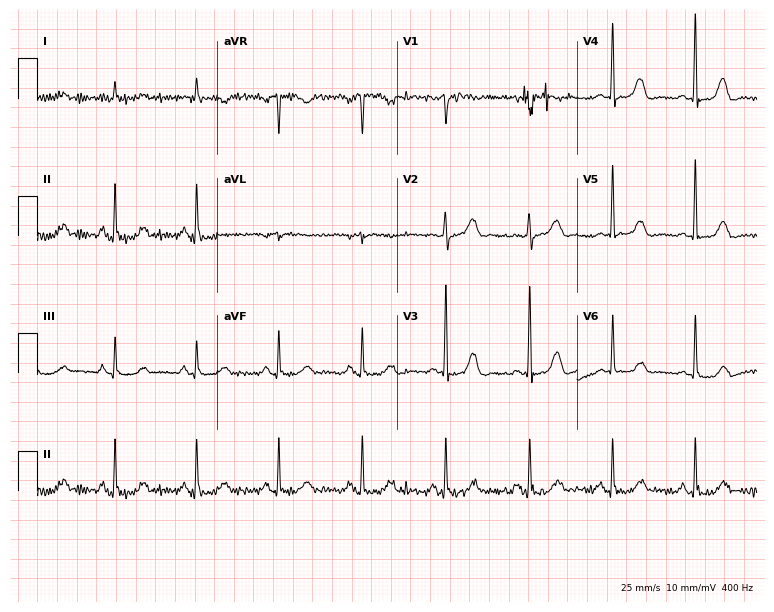
ECG — a female patient, 80 years old. Labelled as a normal ECG.